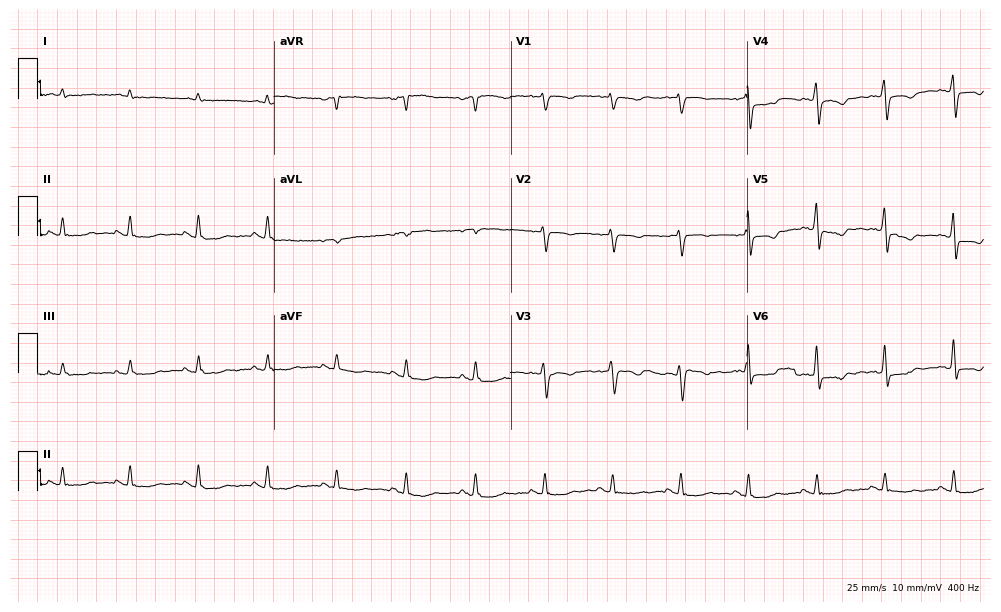
Standard 12-lead ECG recorded from a male patient, 67 years old (9.6-second recording at 400 Hz). None of these six findings is recorded: first-degree AV block, right bundle branch block (RBBB), left bundle branch block (LBBB), sinus bradycardia, atrial fibrillation (AF), sinus tachycardia.